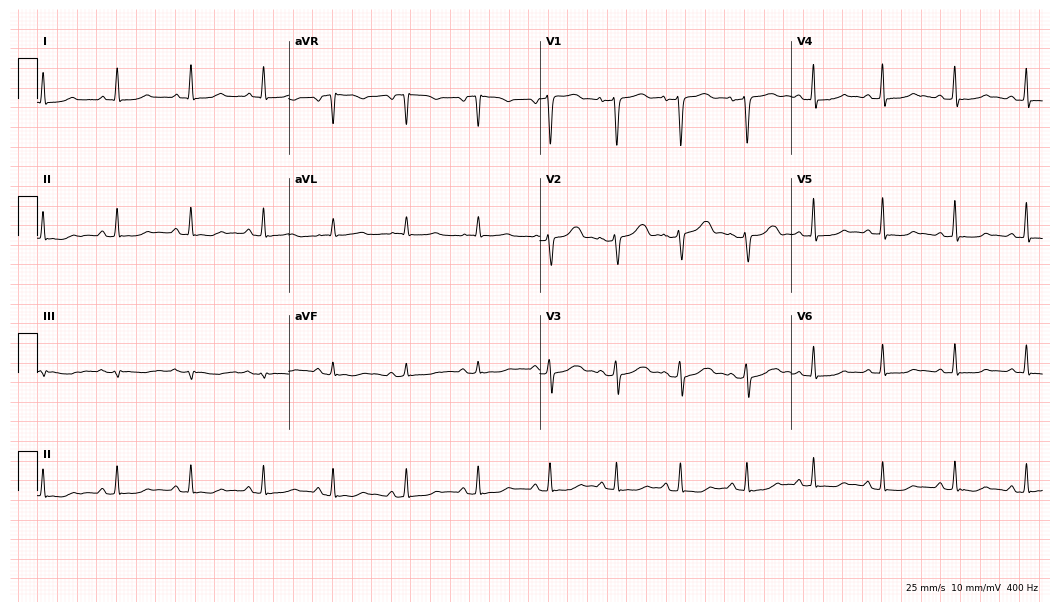
12-lead ECG from a female patient, 64 years old. Recorded interpretation: within normal limits.